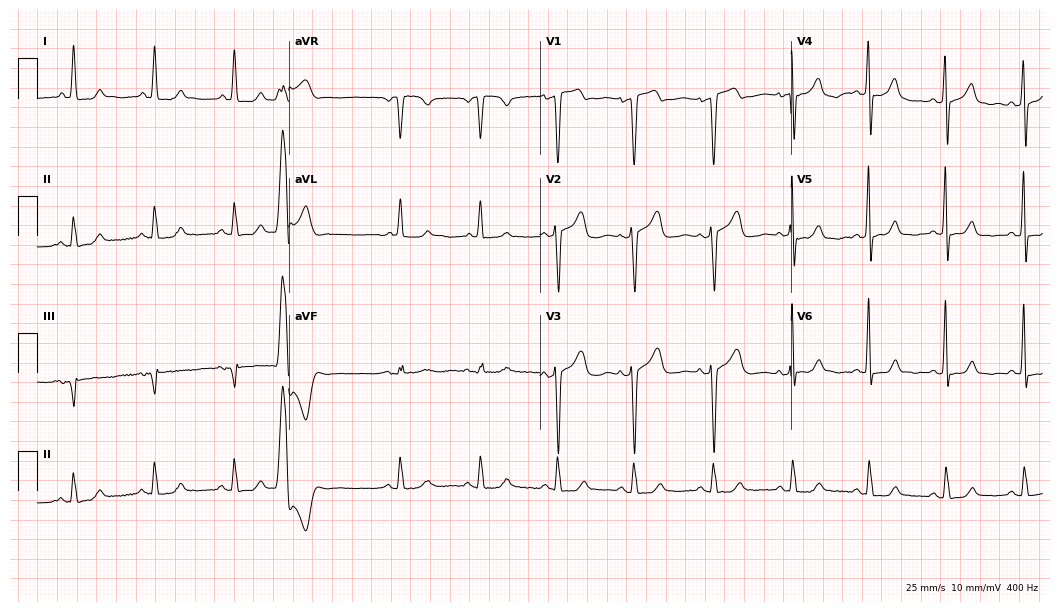
Resting 12-lead electrocardiogram (10.2-second recording at 400 Hz). Patient: a 51-year-old man. None of these six findings is recorded: first-degree AV block, right bundle branch block (RBBB), left bundle branch block (LBBB), sinus bradycardia, atrial fibrillation (AF), sinus tachycardia.